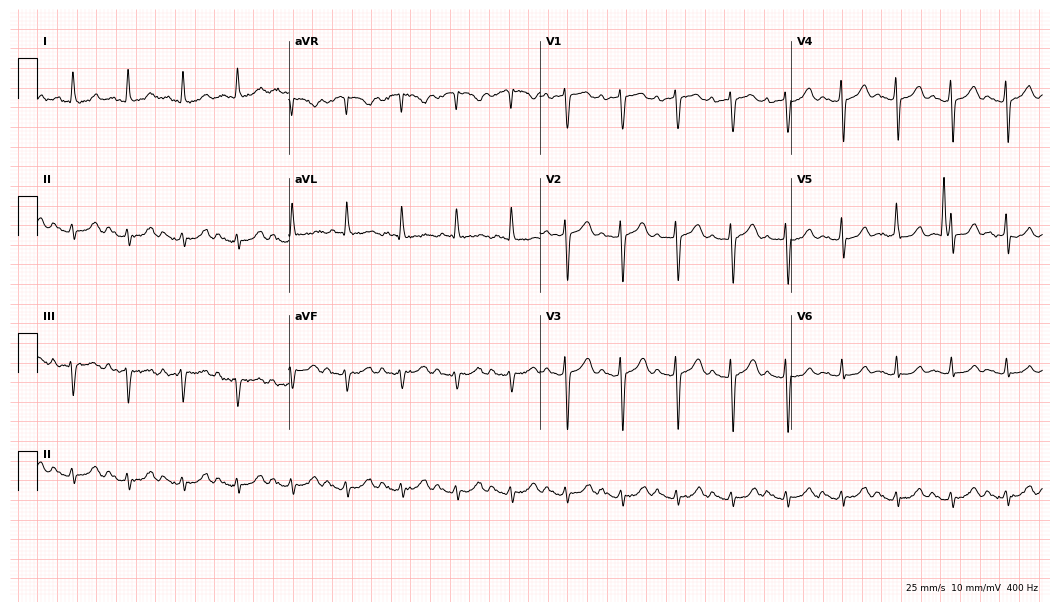
Standard 12-lead ECG recorded from a female, 78 years old (10.2-second recording at 400 Hz). The tracing shows sinus tachycardia (a sinus rate of 100 beats per minute or more).